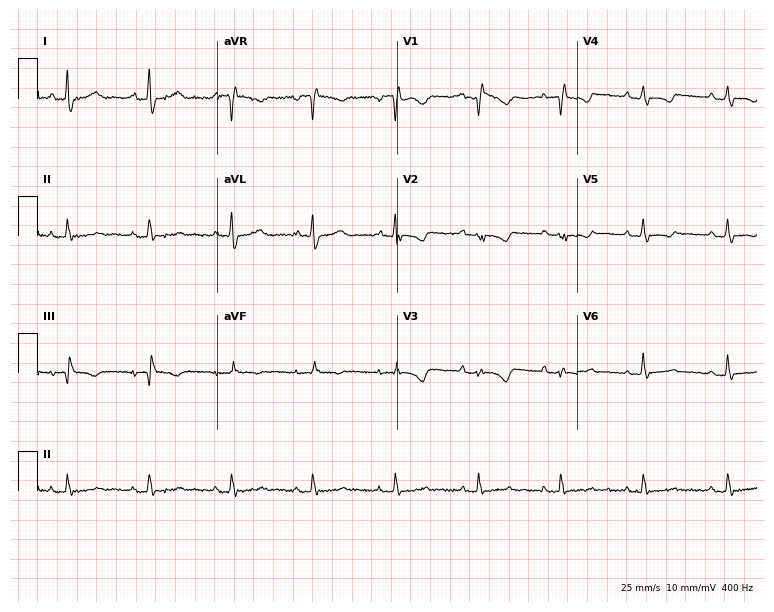
ECG (7.3-second recording at 400 Hz) — a 51-year-old female. Screened for six findings — first-degree AV block, right bundle branch block, left bundle branch block, sinus bradycardia, atrial fibrillation, sinus tachycardia — none is recorded.